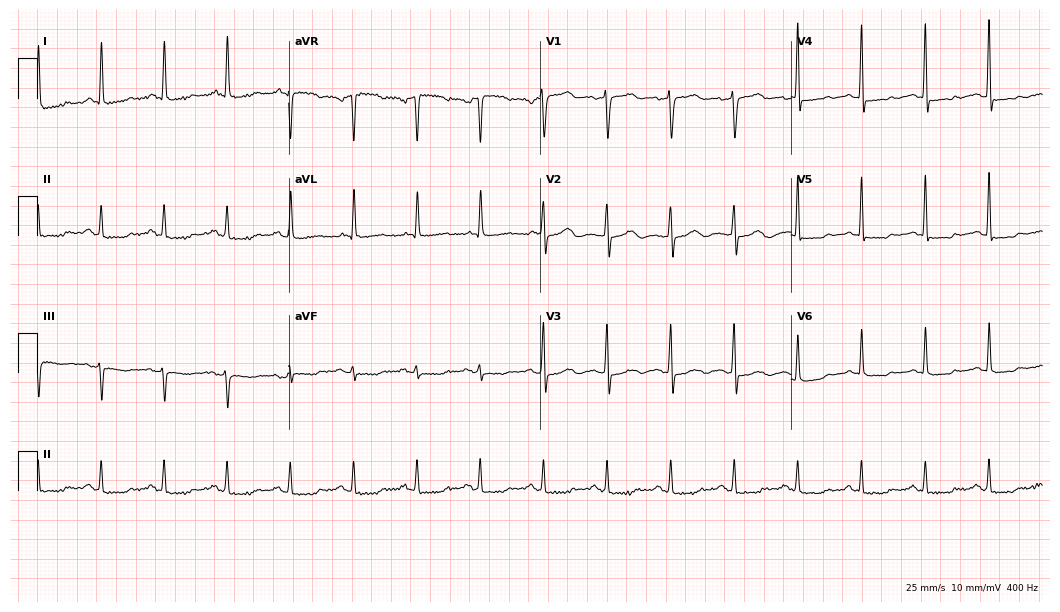
Resting 12-lead electrocardiogram. Patient: an 84-year-old woman. None of these six findings is recorded: first-degree AV block, right bundle branch block (RBBB), left bundle branch block (LBBB), sinus bradycardia, atrial fibrillation (AF), sinus tachycardia.